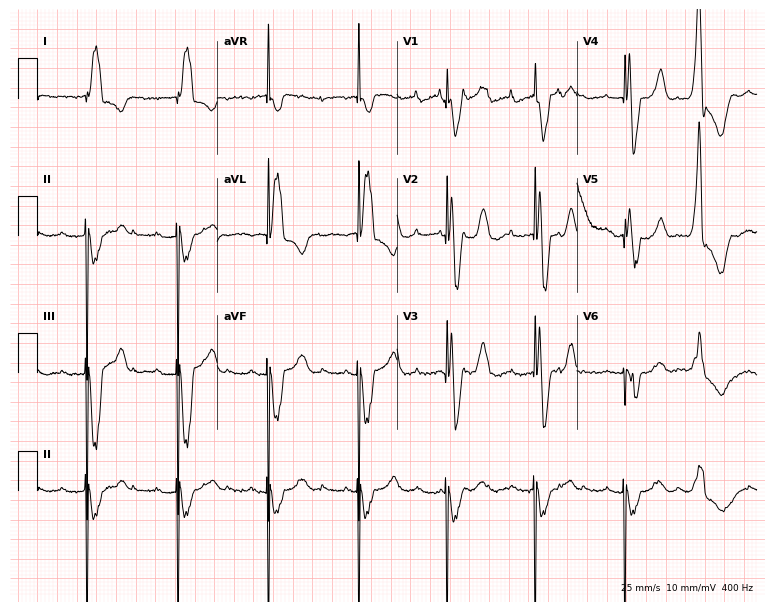
12-lead ECG from a 79-year-old female (7.3-second recording at 400 Hz). No first-degree AV block, right bundle branch block, left bundle branch block, sinus bradycardia, atrial fibrillation or sinus tachycardia recorded for this tracing. Findings outside these six are not listed.